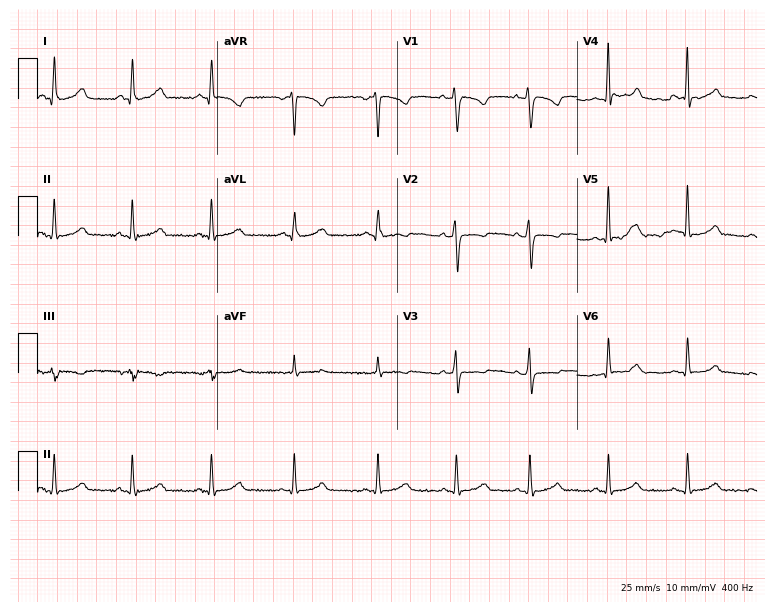
Electrocardiogram, a female, 28 years old. Of the six screened findings (first-degree AV block, right bundle branch block, left bundle branch block, sinus bradycardia, atrial fibrillation, sinus tachycardia), none is recorded.